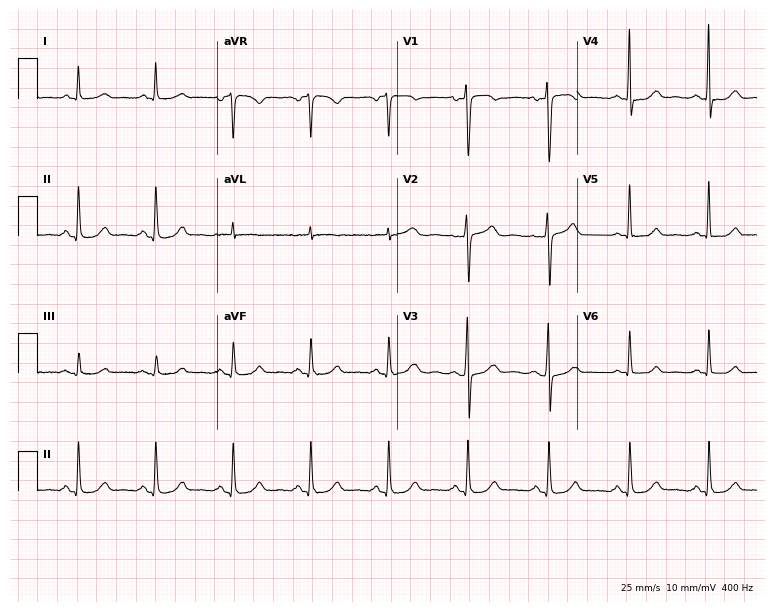
Resting 12-lead electrocardiogram. Patient: a woman, 49 years old. Read as a normal ECG.